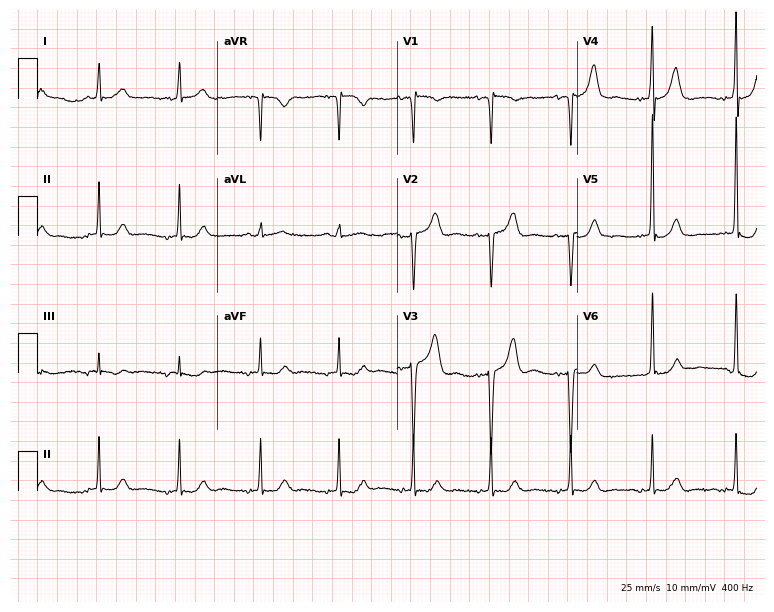
ECG — a 77-year-old female. Labelled as a normal ECG.